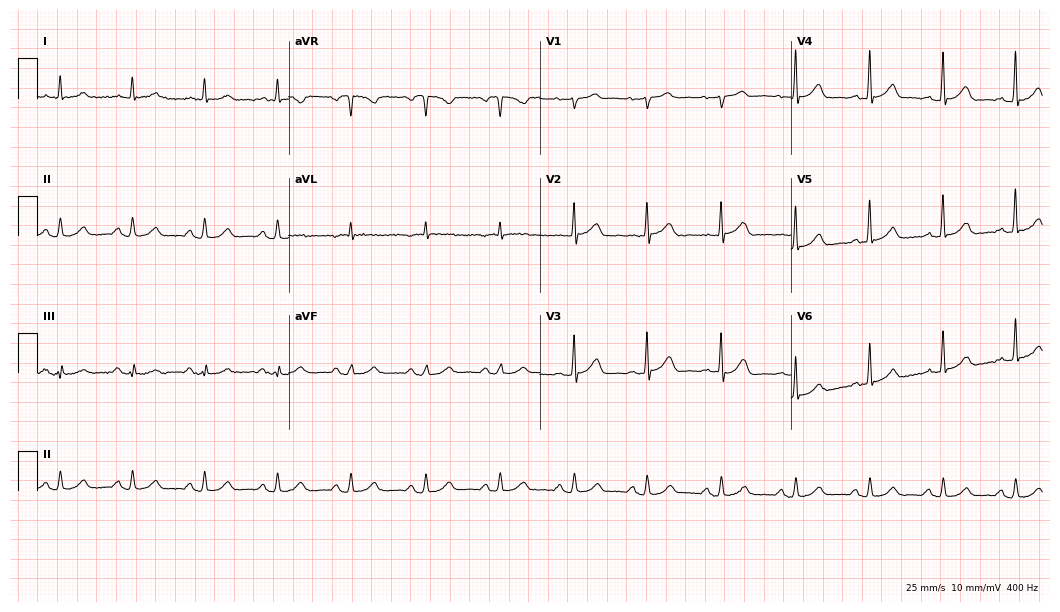
Resting 12-lead electrocardiogram (10.2-second recording at 400 Hz). Patient: a male, 79 years old. Read as a normal ECG.